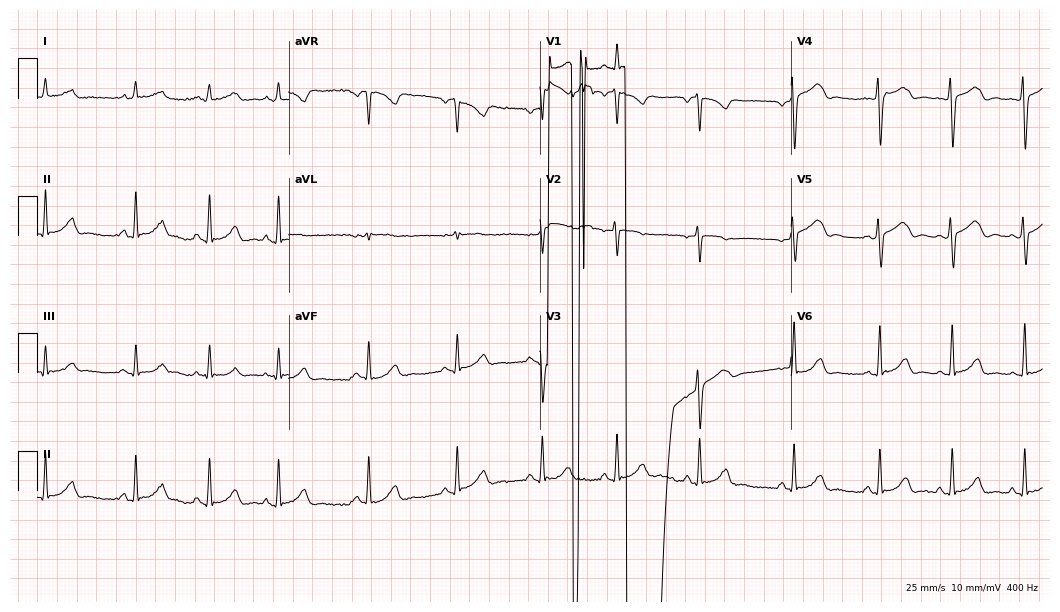
Resting 12-lead electrocardiogram (10.2-second recording at 400 Hz). Patient: a female, 35 years old. None of these six findings is recorded: first-degree AV block, right bundle branch block (RBBB), left bundle branch block (LBBB), sinus bradycardia, atrial fibrillation (AF), sinus tachycardia.